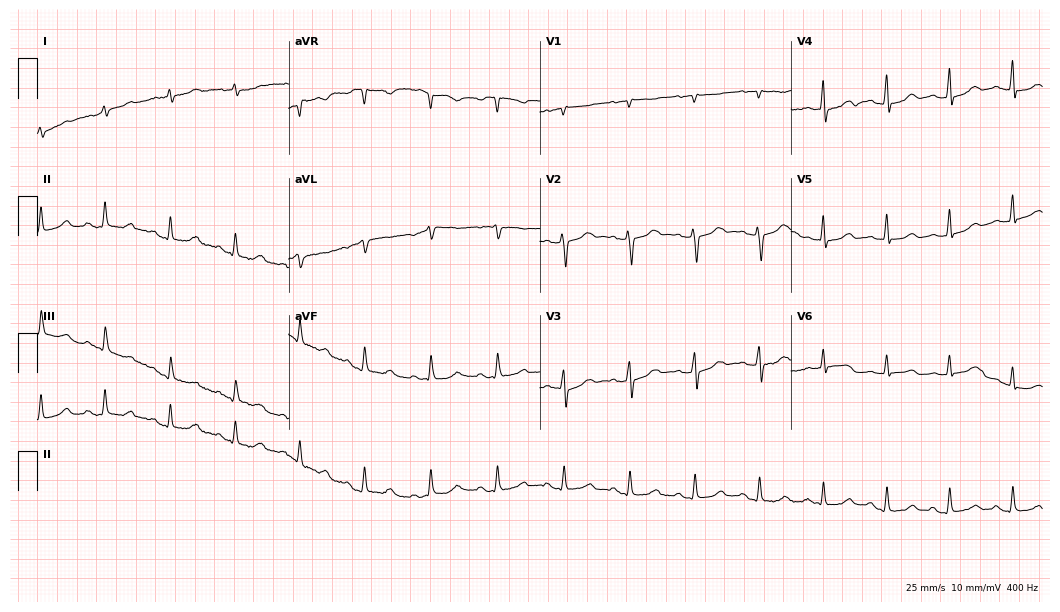
Resting 12-lead electrocardiogram (10.2-second recording at 400 Hz). Patient: a 46-year-old female. None of these six findings is recorded: first-degree AV block, right bundle branch block, left bundle branch block, sinus bradycardia, atrial fibrillation, sinus tachycardia.